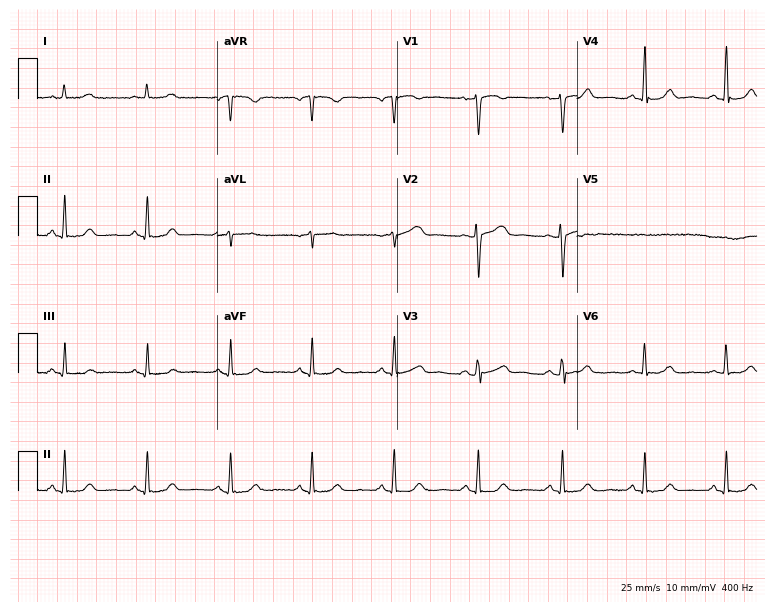
12-lead ECG (7.3-second recording at 400 Hz) from a 55-year-old woman. Labelled as a normal ECG.